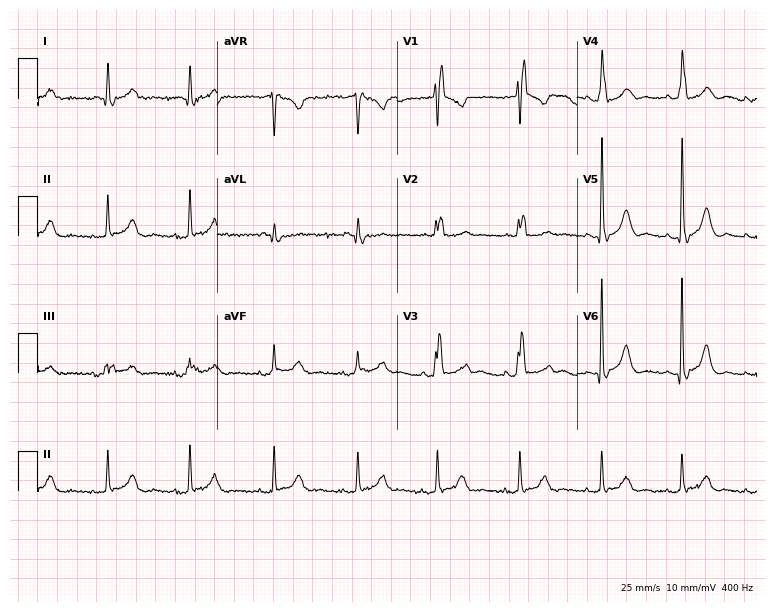
Electrocardiogram (7.3-second recording at 400 Hz), a male patient, 86 years old. Interpretation includes right bundle branch block (RBBB).